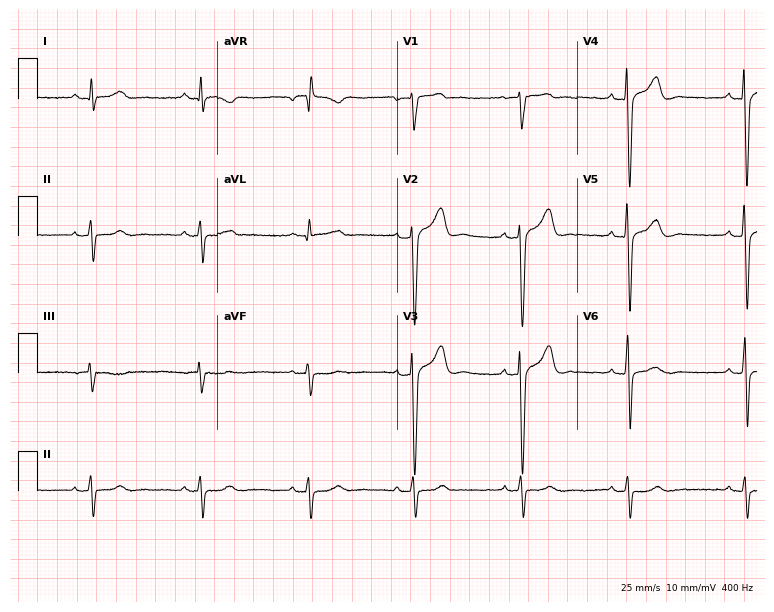
ECG — a 29-year-old man. Screened for six findings — first-degree AV block, right bundle branch block (RBBB), left bundle branch block (LBBB), sinus bradycardia, atrial fibrillation (AF), sinus tachycardia — none is recorded. Other findings, if any, are not listed.